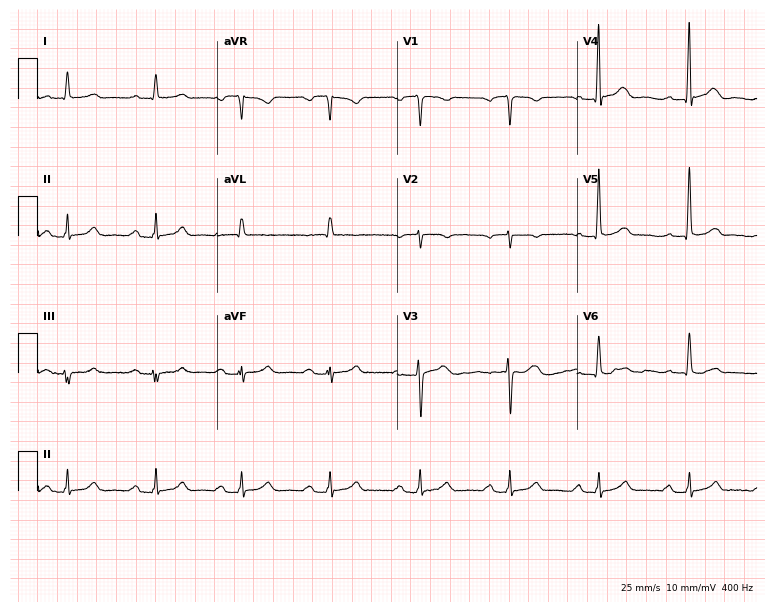
Standard 12-lead ECG recorded from an 84-year-old man. The tracing shows first-degree AV block.